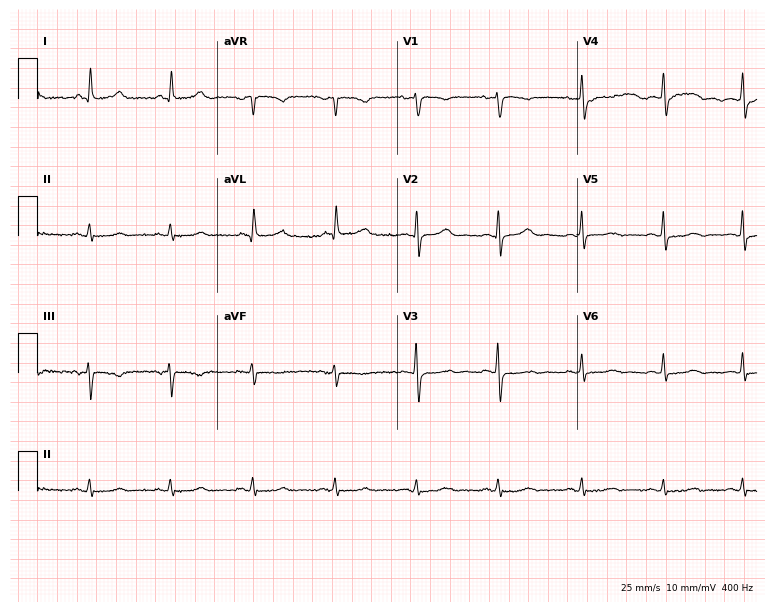
Resting 12-lead electrocardiogram. Patient: a 50-year-old female. None of these six findings is recorded: first-degree AV block, right bundle branch block, left bundle branch block, sinus bradycardia, atrial fibrillation, sinus tachycardia. Only these six findings were labelled.